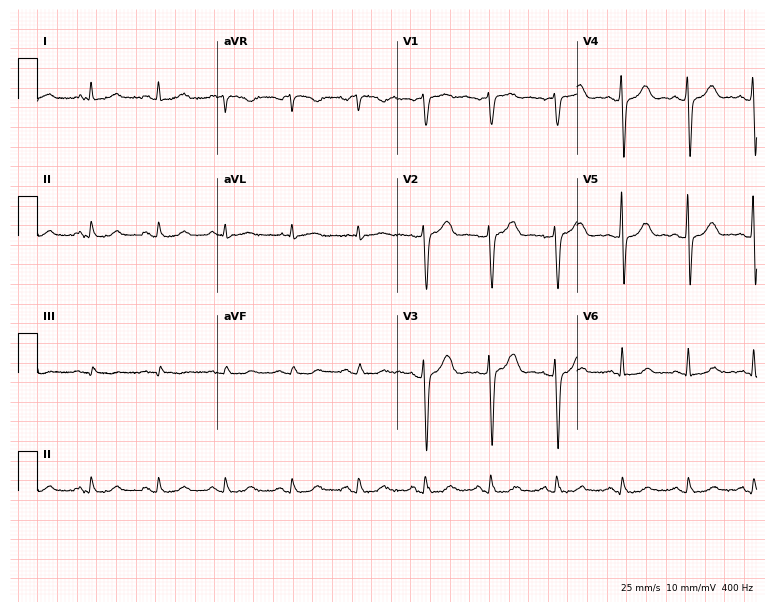
Standard 12-lead ECG recorded from a male, 77 years old. Read as a normal ECG.